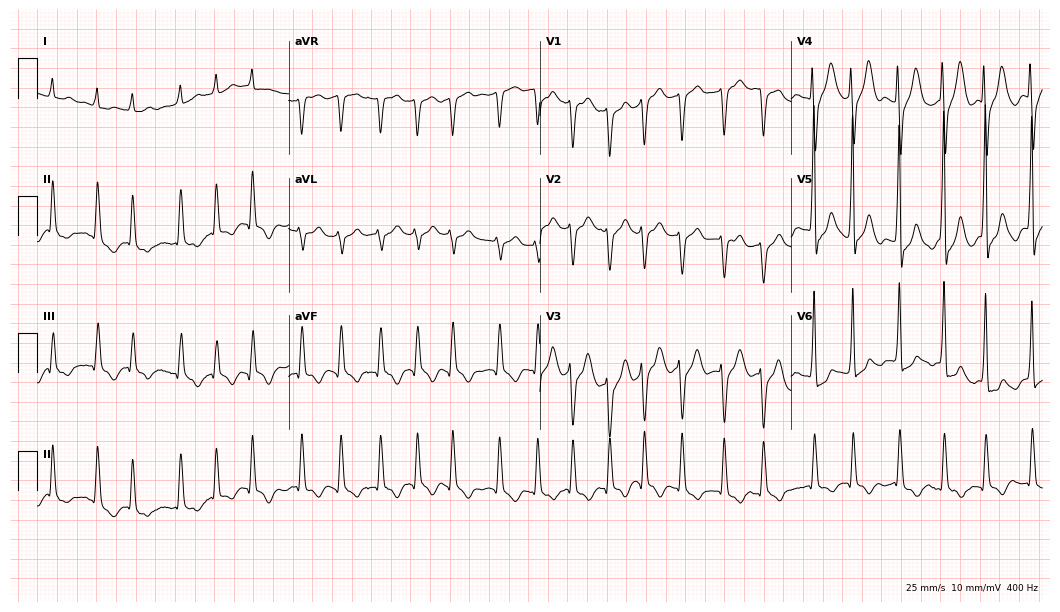
12-lead ECG from a female patient, 85 years old (10.2-second recording at 400 Hz). Shows atrial fibrillation.